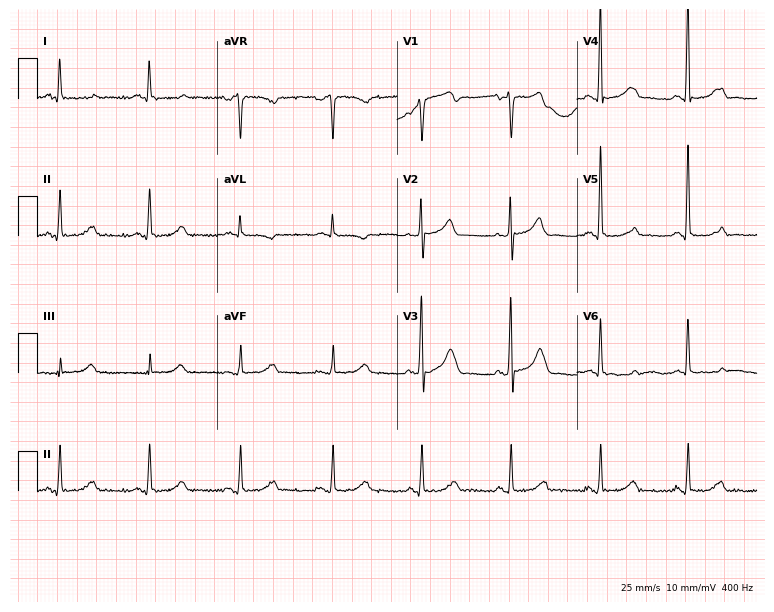
Electrocardiogram (7.3-second recording at 400 Hz), a 70-year-old male patient. Overall reading on record: normal ECG.